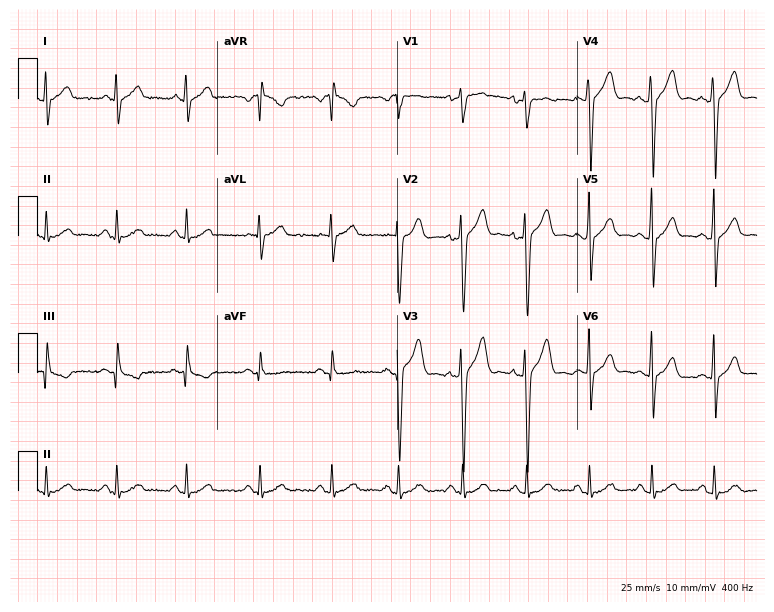
Electrocardiogram (7.3-second recording at 400 Hz), a 25-year-old man. Overall reading on record: normal ECG.